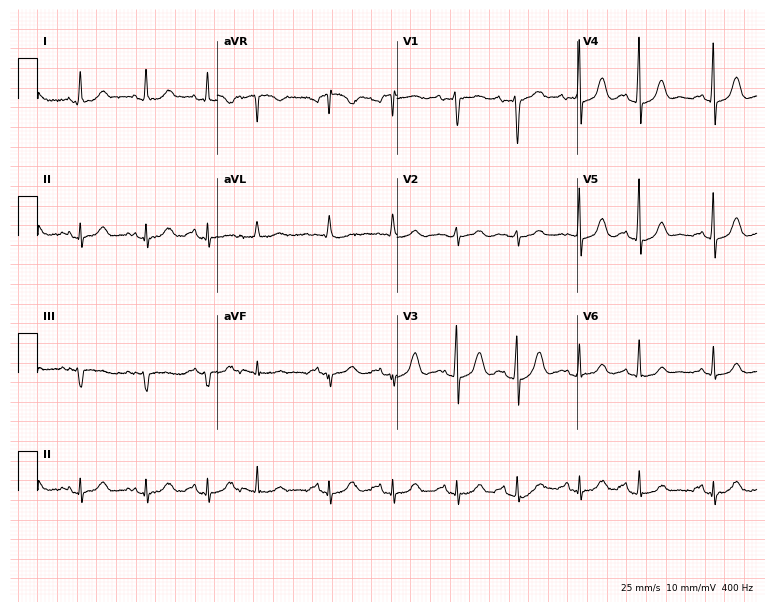
12-lead ECG from a female, 88 years old (7.3-second recording at 400 Hz). No first-degree AV block, right bundle branch block, left bundle branch block, sinus bradycardia, atrial fibrillation or sinus tachycardia recorded for this tracing.